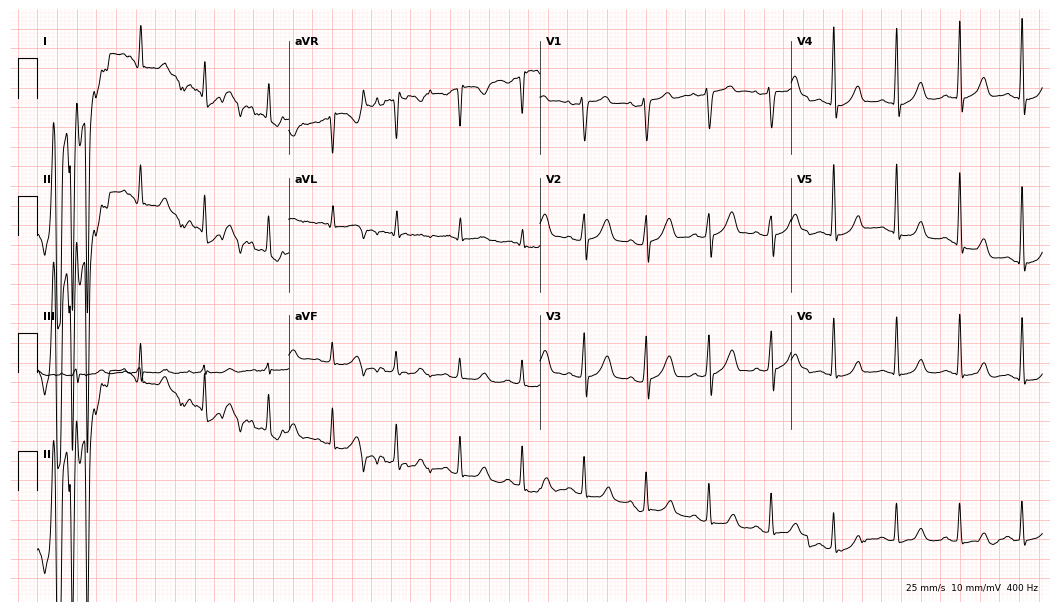
12-lead ECG from a male, 48 years old. Labelled as a normal ECG.